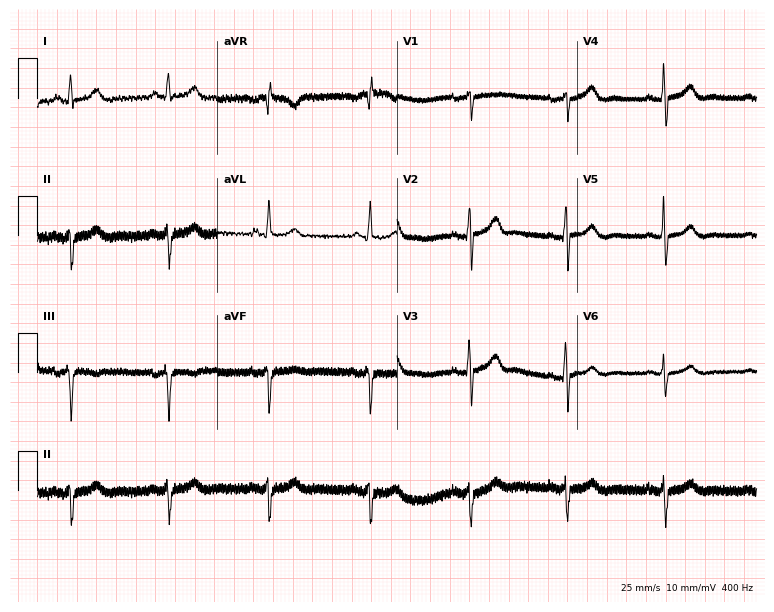
Electrocardiogram (7.3-second recording at 400 Hz), a female, 62 years old. Of the six screened findings (first-degree AV block, right bundle branch block (RBBB), left bundle branch block (LBBB), sinus bradycardia, atrial fibrillation (AF), sinus tachycardia), none is recorded.